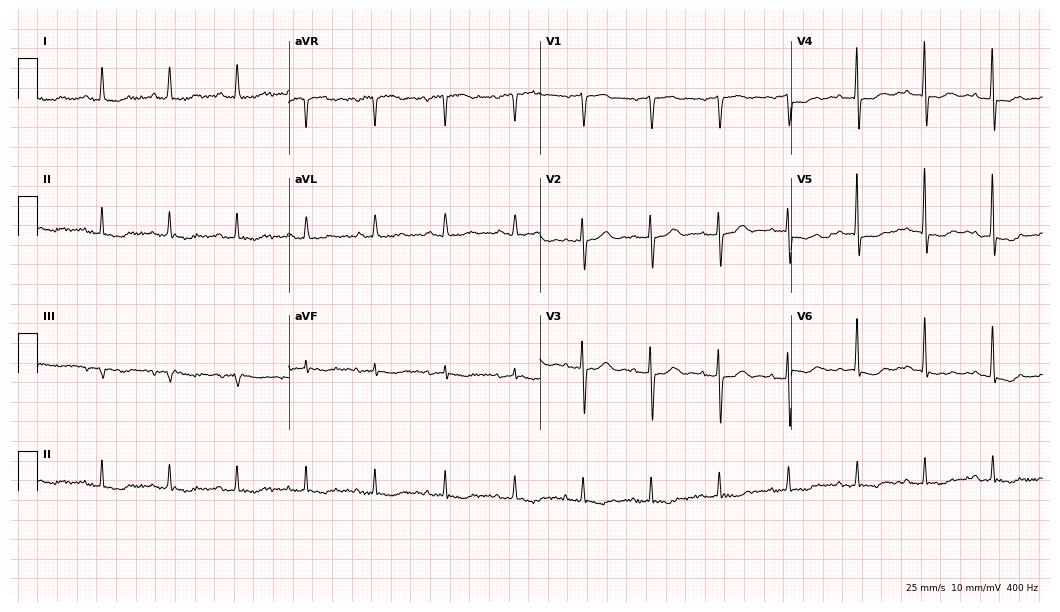
Resting 12-lead electrocardiogram (10.2-second recording at 400 Hz). Patient: a female, 80 years old. None of these six findings is recorded: first-degree AV block, right bundle branch block, left bundle branch block, sinus bradycardia, atrial fibrillation, sinus tachycardia. Only these six findings were labelled.